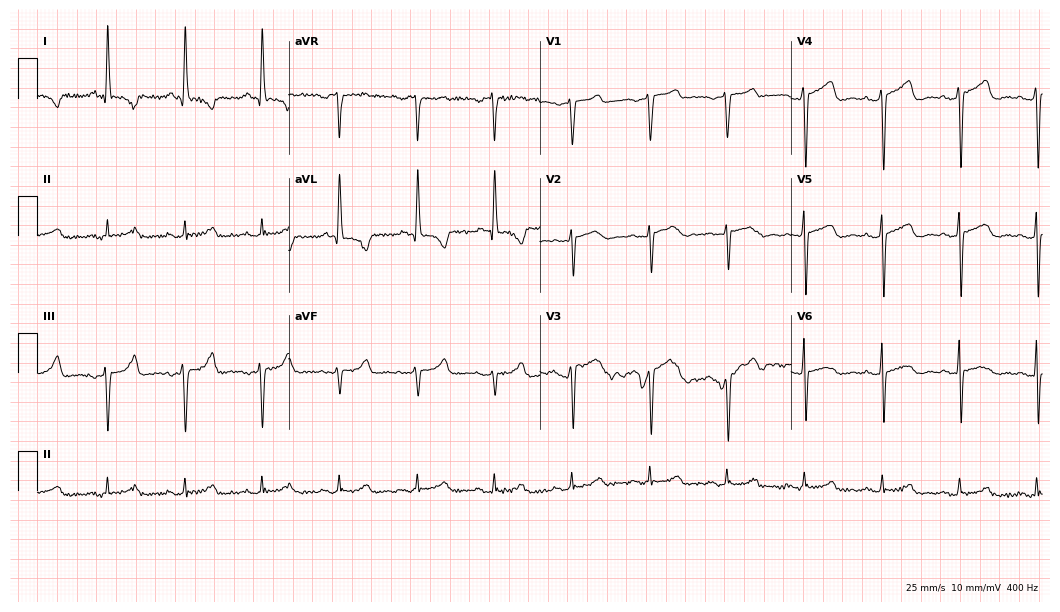
Resting 12-lead electrocardiogram (10.2-second recording at 400 Hz). Patient: a woman, 67 years old. None of these six findings is recorded: first-degree AV block, right bundle branch block, left bundle branch block, sinus bradycardia, atrial fibrillation, sinus tachycardia. Findings outside these six are not listed.